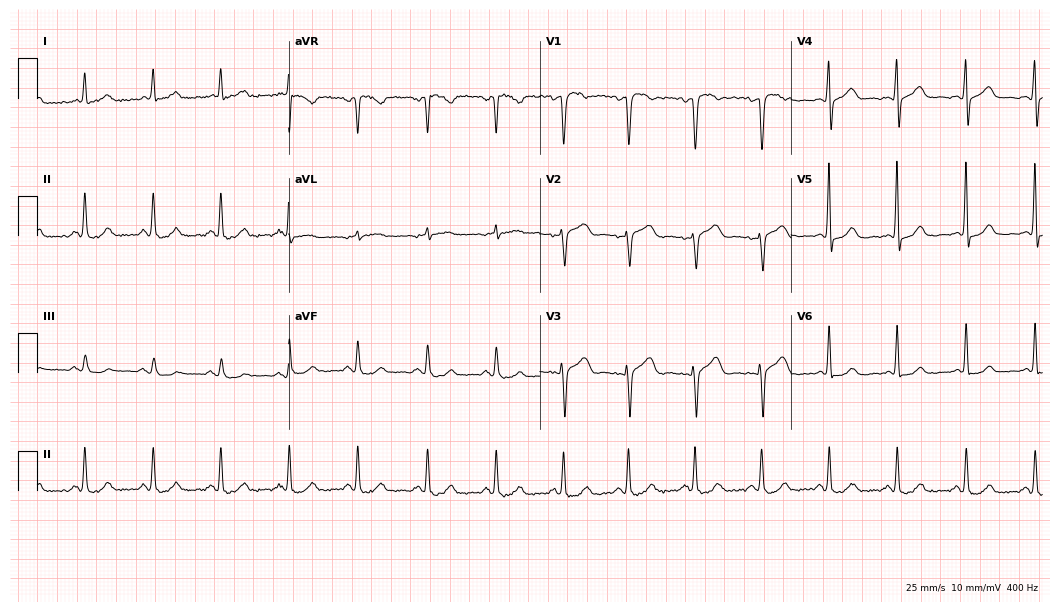
ECG — a woman, 43 years old. Screened for six findings — first-degree AV block, right bundle branch block, left bundle branch block, sinus bradycardia, atrial fibrillation, sinus tachycardia — none is recorded. Findings outside these six are not listed.